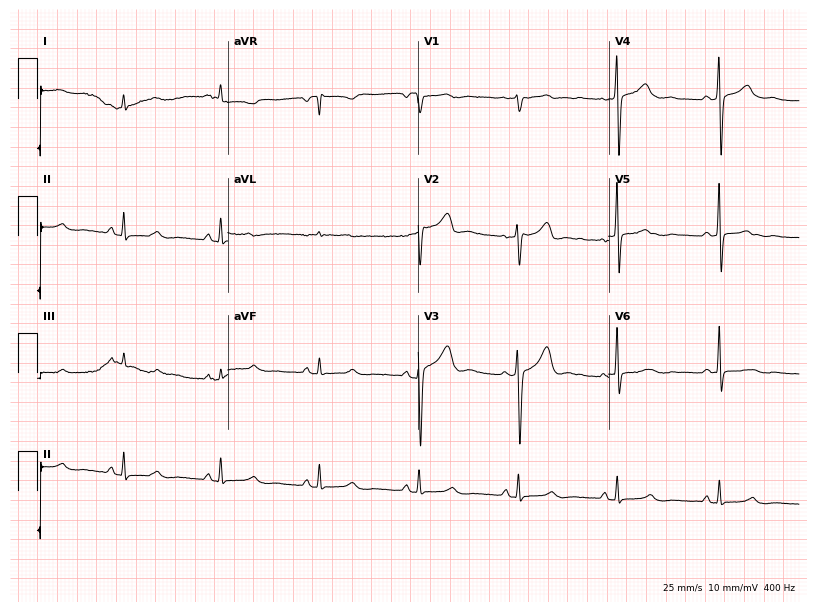
Electrocardiogram (7.8-second recording at 400 Hz), a woman, 47 years old. Overall reading on record: normal ECG.